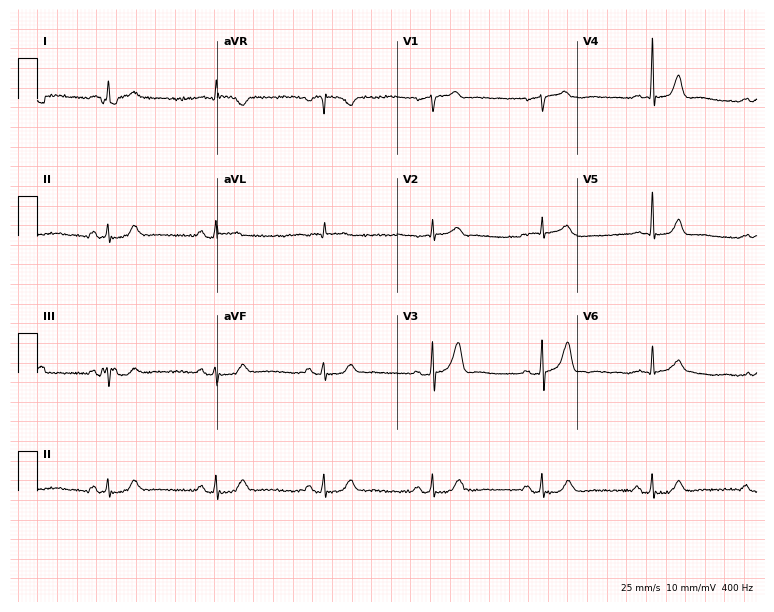
Resting 12-lead electrocardiogram (7.3-second recording at 400 Hz). Patient: a female, 80 years old. Read as a normal ECG.